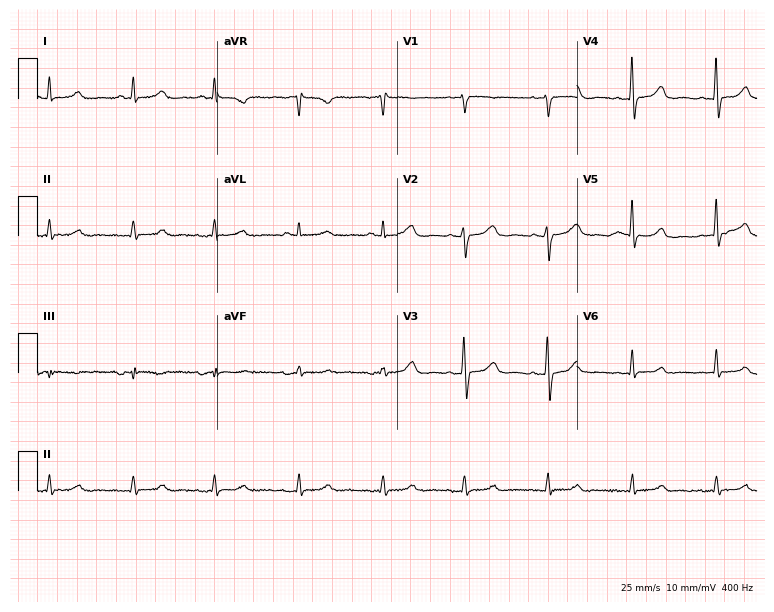
Electrocardiogram (7.3-second recording at 400 Hz), a female, 62 years old. Of the six screened findings (first-degree AV block, right bundle branch block (RBBB), left bundle branch block (LBBB), sinus bradycardia, atrial fibrillation (AF), sinus tachycardia), none is recorded. Other findings, if any, are not listed.